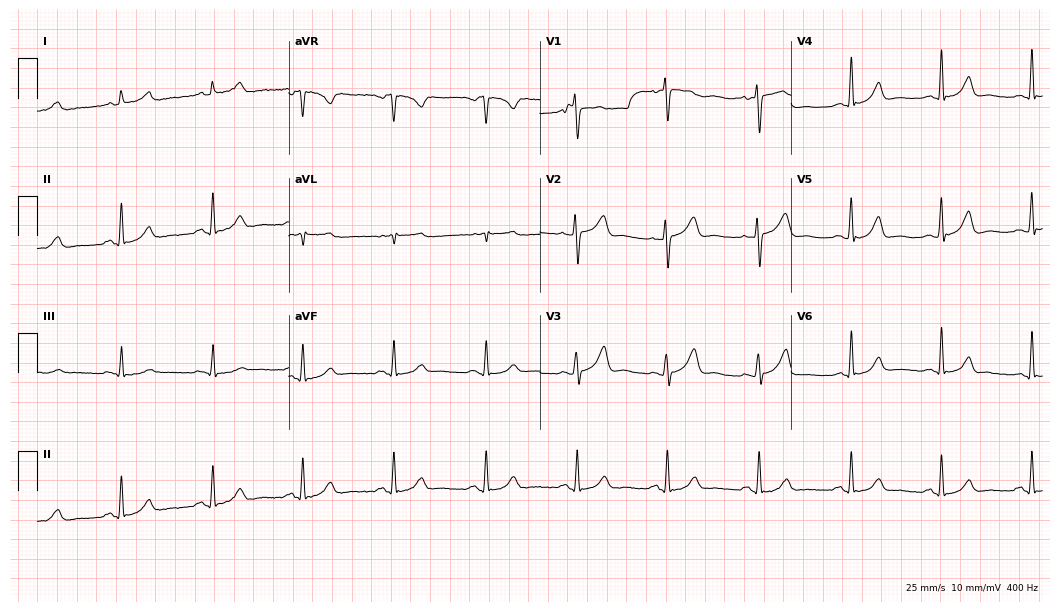
ECG — a woman, 49 years old. Labelled as a normal ECG.